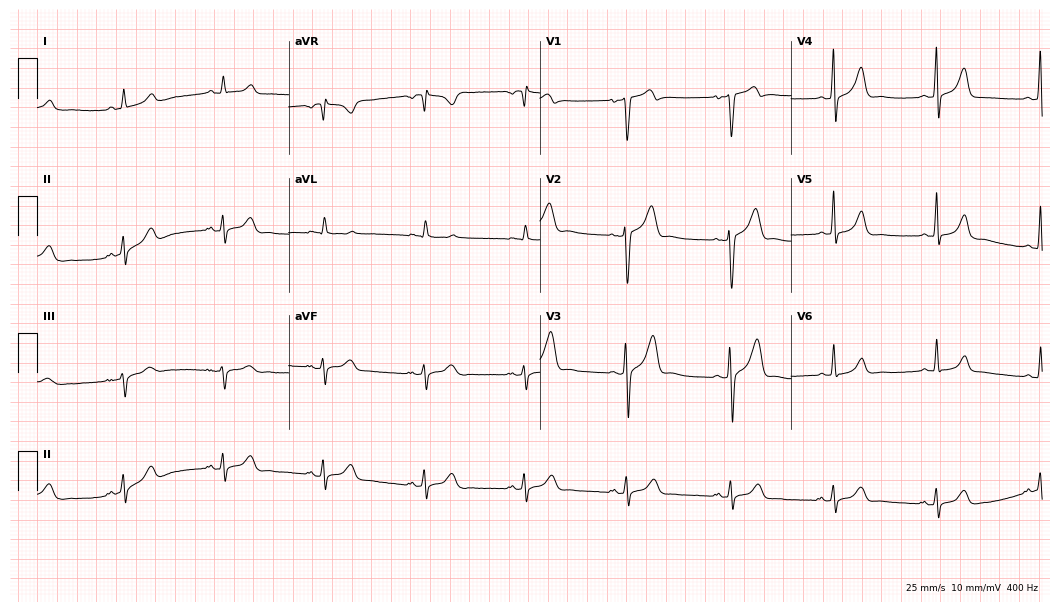
12-lead ECG (10.2-second recording at 400 Hz) from a male patient, 54 years old. Screened for six findings — first-degree AV block, right bundle branch block, left bundle branch block, sinus bradycardia, atrial fibrillation, sinus tachycardia — none is recorded. Other findings, if any, are not listed.